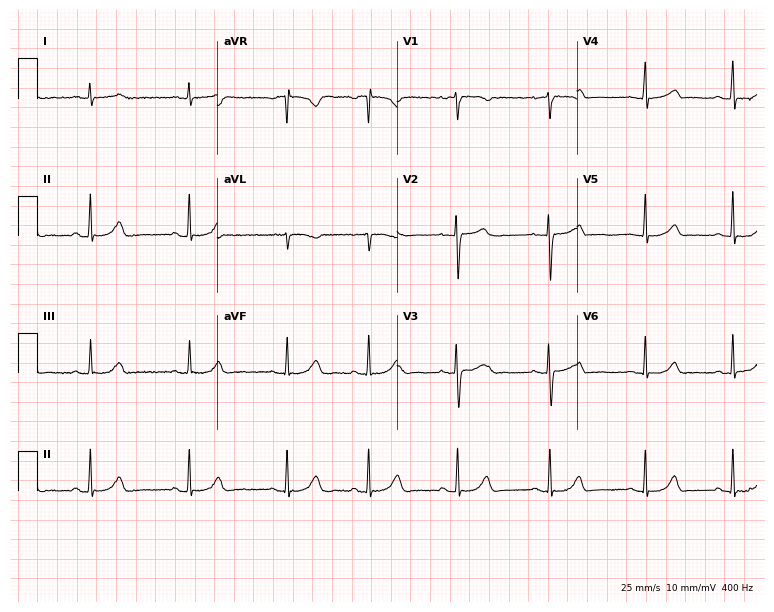
12-lead ECG from a woman, 22 years old. No first-degree AV block, right bundle branch block (RBBB), left bundle branch block (LBBB), sinus bradycardia, atrial fibrillation (AF) or sinus tachycardia recorded for this tracing. Only these six findings were labelled.